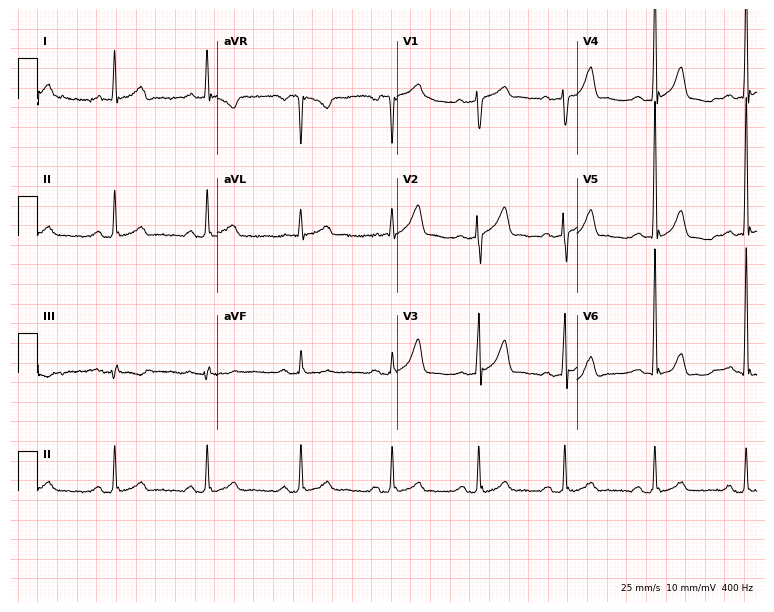
12-lead ECG from a male patient, 57 years old. Labelled as a normal ECG.